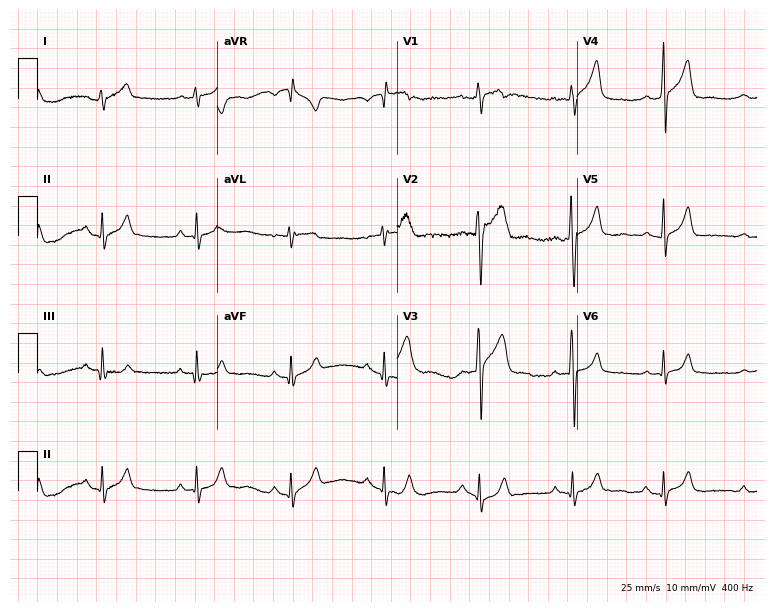
Resting 12-lead electrocardiogram. Patient: a man, 20 years old. Read as a normal ECG.